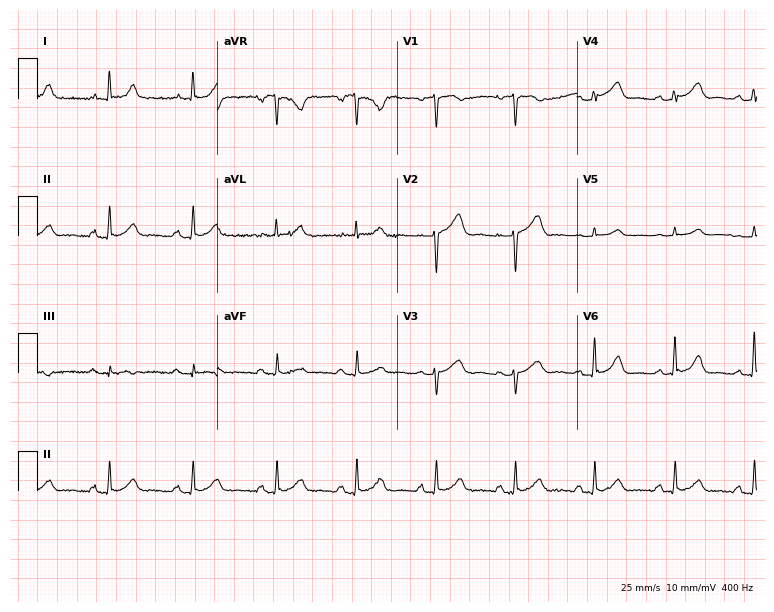
Electrocardiogram (7.3-second recording at 400 Hz), a female patient, 55 years old. Of the six screened findings (first-degree AV block, right bundle branch block, left bundle branch block, sinus bradycardia, atrial fibrillation, sinus tachycardia), none is recorded. Only these six findings were labelled.